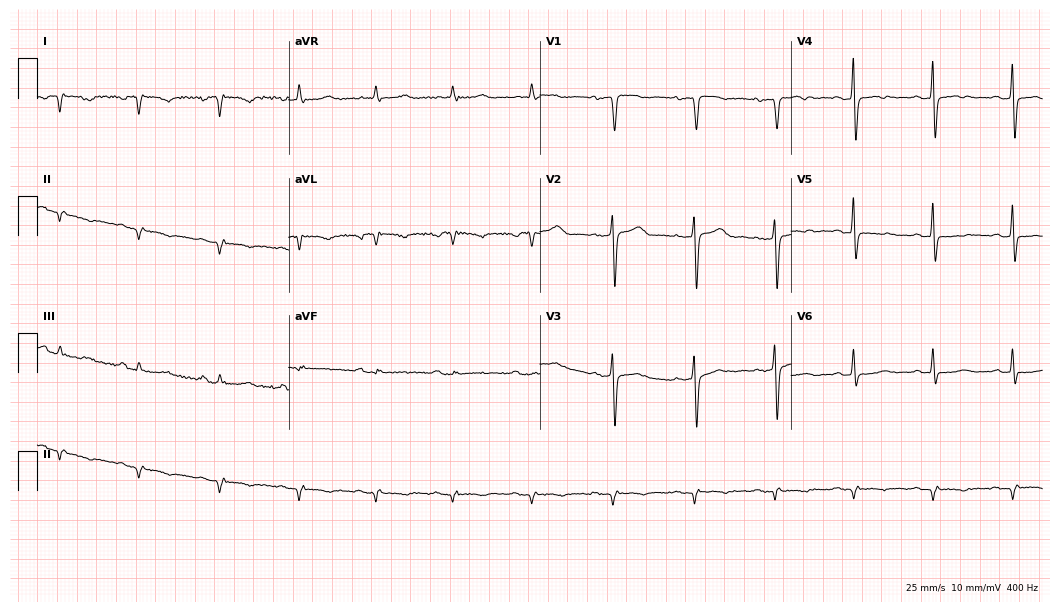
Standard 12-lead ECG recorded from a 78-year-old female patient (10.2-second recording at 400 Hz). None of these six findings is recorded: first-degree AV block, right bundle branch block, left bundle branch block, sinus bradycardia, atrial fibrillation, sinus tachycardia. Findings outside these six are not listed.